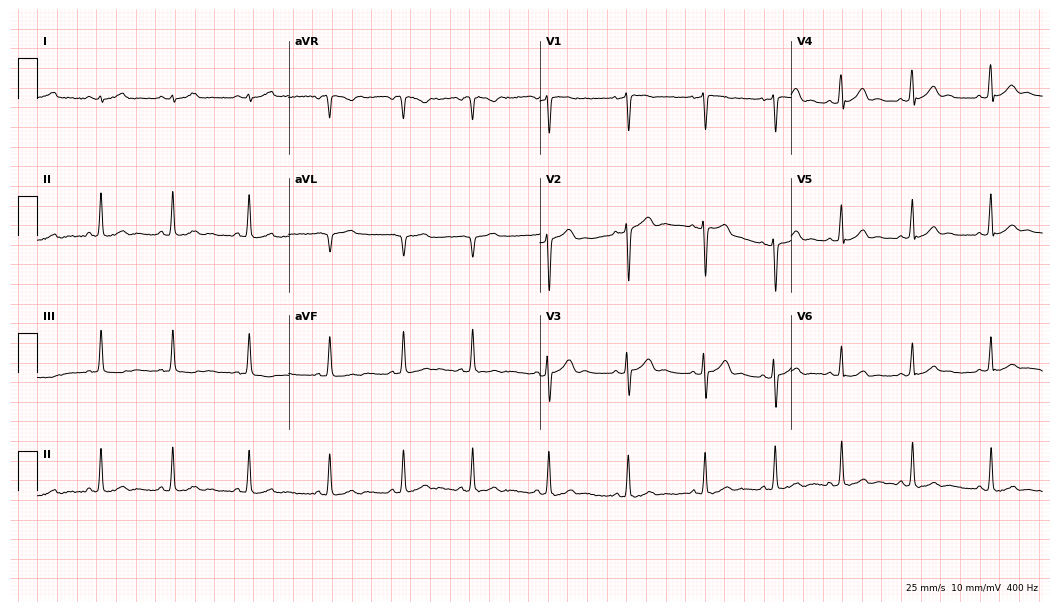
Electrocardiogram (10.2-second recording at 400 Hz), a female, 33 years old. Overall reading on record: normal ECG.